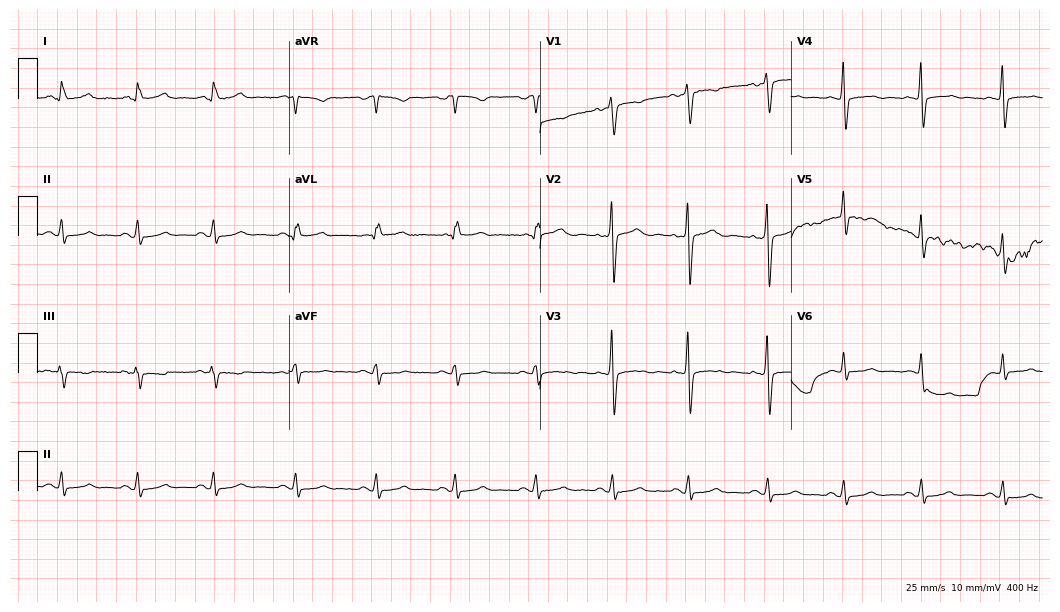
12-lead ECG from a woman, 39 years old. Screened for six findings — first-degree AV block, right bundle branch block (RBBB), left bundle branch block (LBBB), sinus bradycardia, atrial fibrillation (AF), sinus tachycardia — none is recorded. Other findings, if any, are not listed.